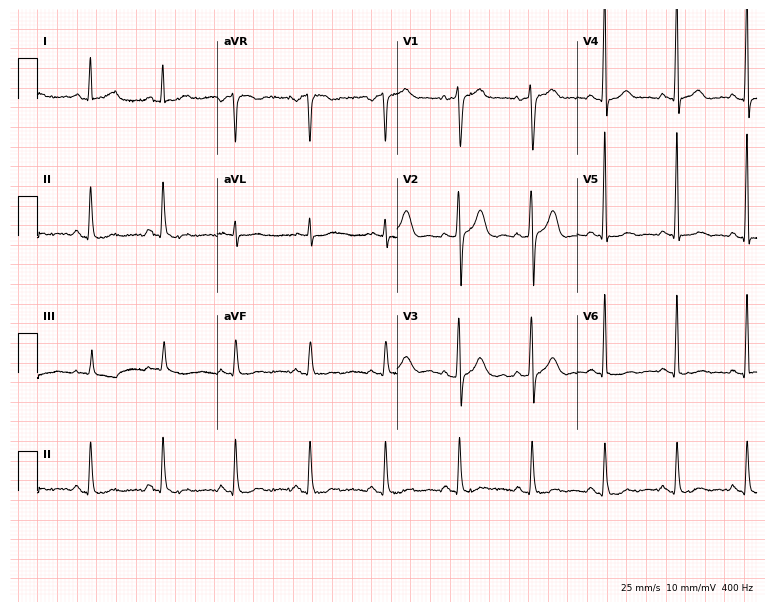
Resting 12-lead electrocardiogram. Patient: a man, 64 years old. None of these six findings is recorded: first-degree AV block, right bundle branch block (RBBB), left bundle branch block (LBBB), sinus bradycardia, atrial fibrillation (AF), sinus tachycardia.